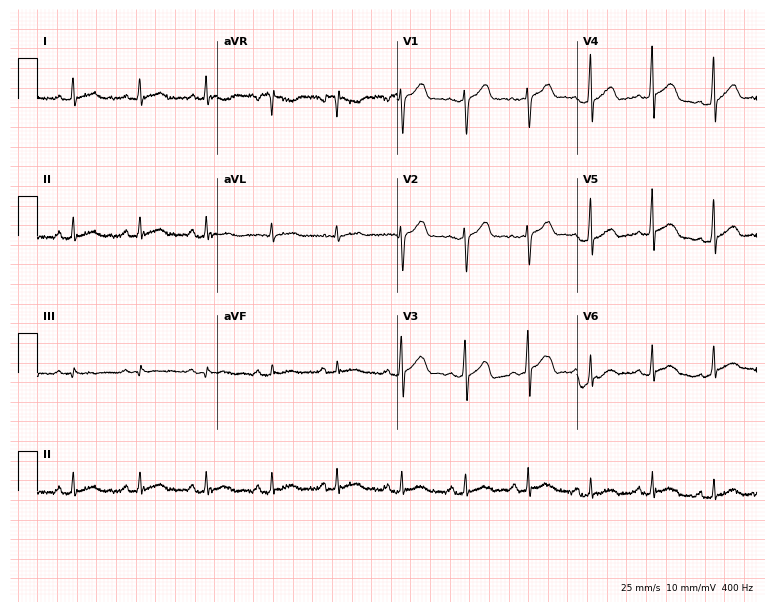
Electrocardiogram, a male, 44 years old. Overall reading on record: normal ECG.